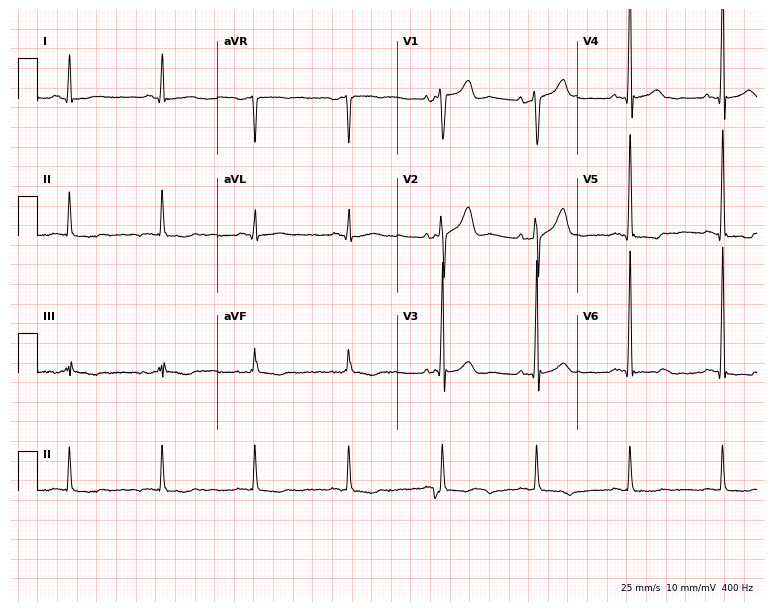
ECG — a 56-year-old man. Screened for six findings — first-degree AV block, right bundle branch block, left bundle branch block, sinus bradycardia, atrial fibrillation, sinus tachycardia — none is recorded. Only these six findings were labelled.